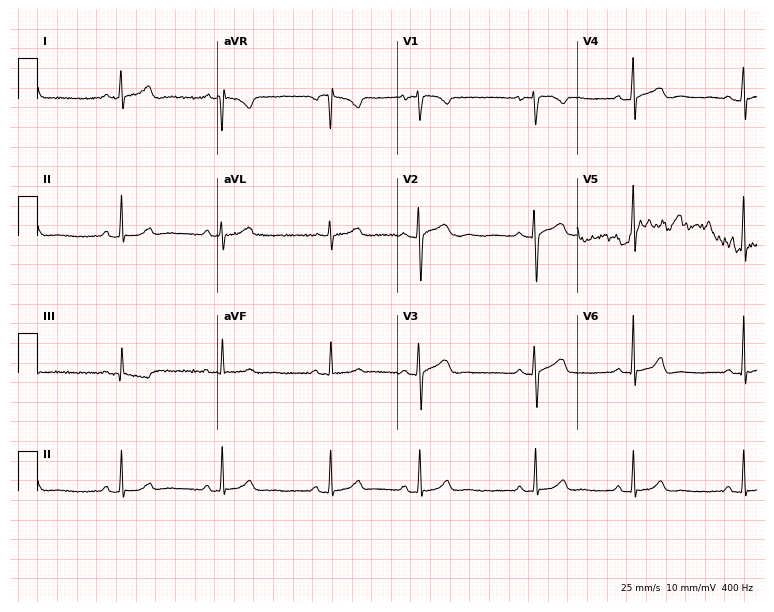
ECG (7.3-second recording at 400 Hz) — an 18-year-old female patient. Labelled as a normal ECG.